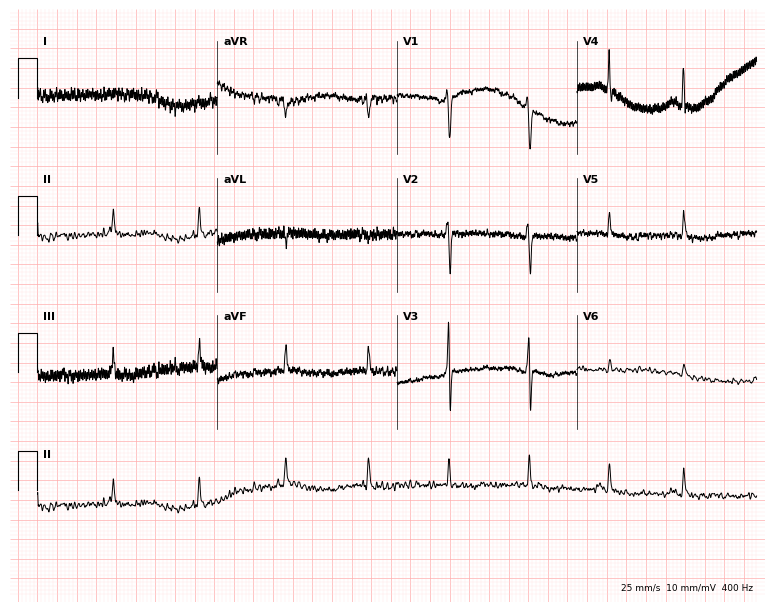
Electrocardiogram, a female, 68 years old. Of the six screened findings (first-degree AV block, right bundle branch block, left bundle branch block, sinus bradycardia, atrial fibrillation, sinus tachycardia), none is recorded.